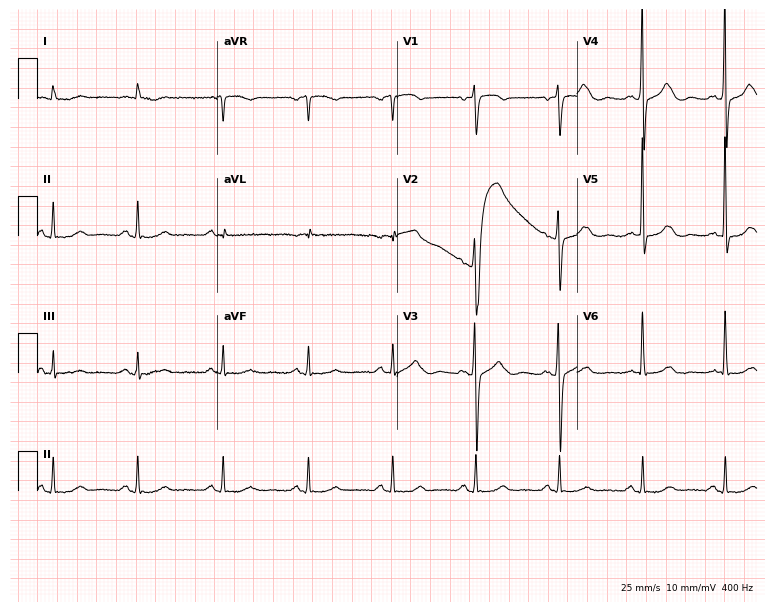
12-lead ECG from a 79-year-old male (7.3-second recording at 400 Hz). No first-degree AV block, right bundle branch block, left bundle branch block, sinus bradycardia, atrial fibrillation or sinus tachycardia recorded for this tracing.